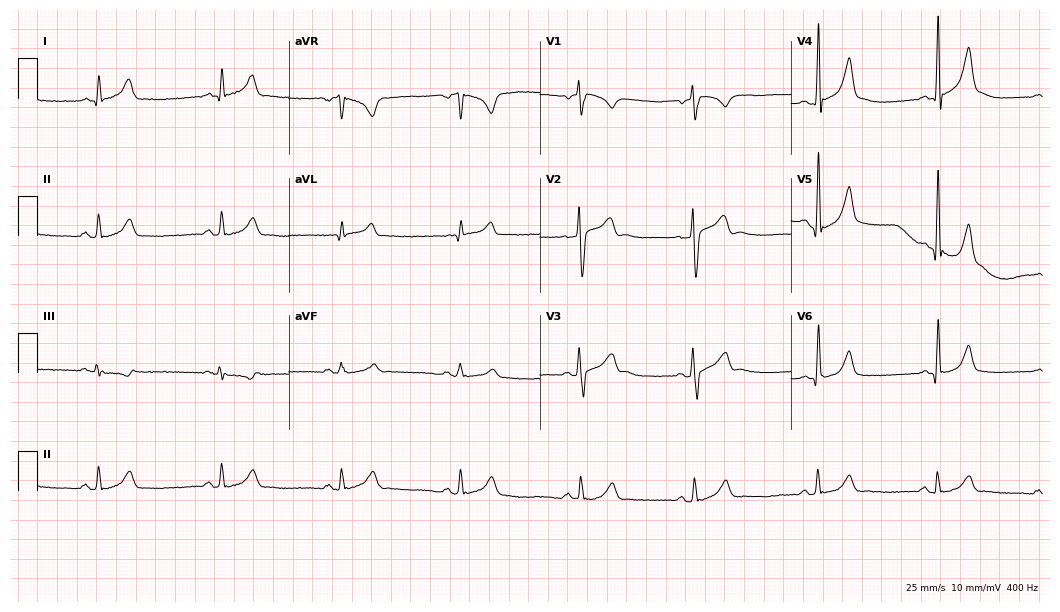
Standard 12-lead ECG recorded from a male patient, 37 years old (10.2-second recording at 400 Hz). Read as a normal ECG.